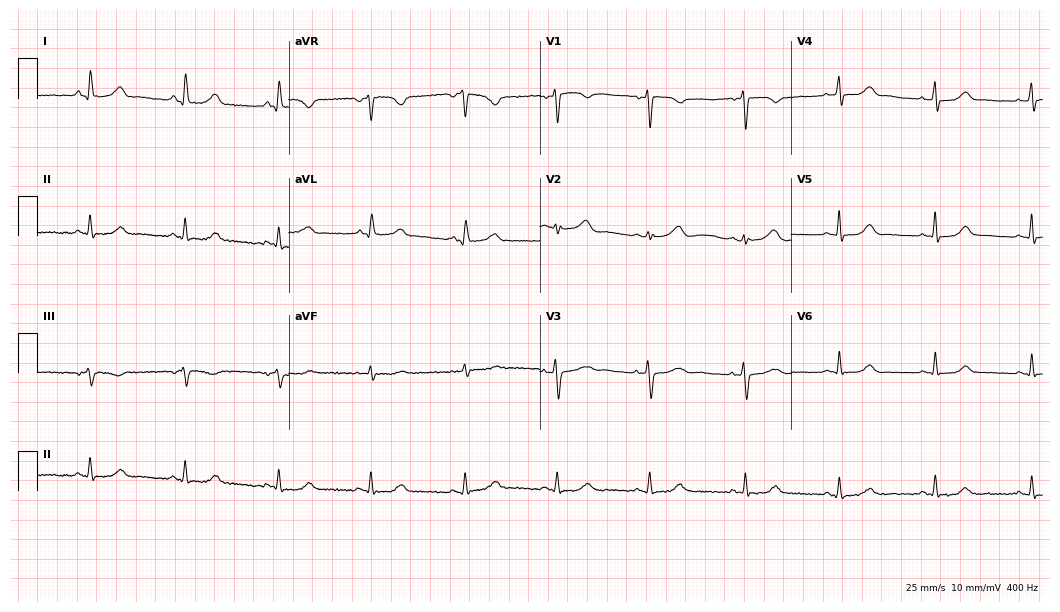
Electrocardiogram, a 45-year-old female. Overall reading on record: normal ECG.